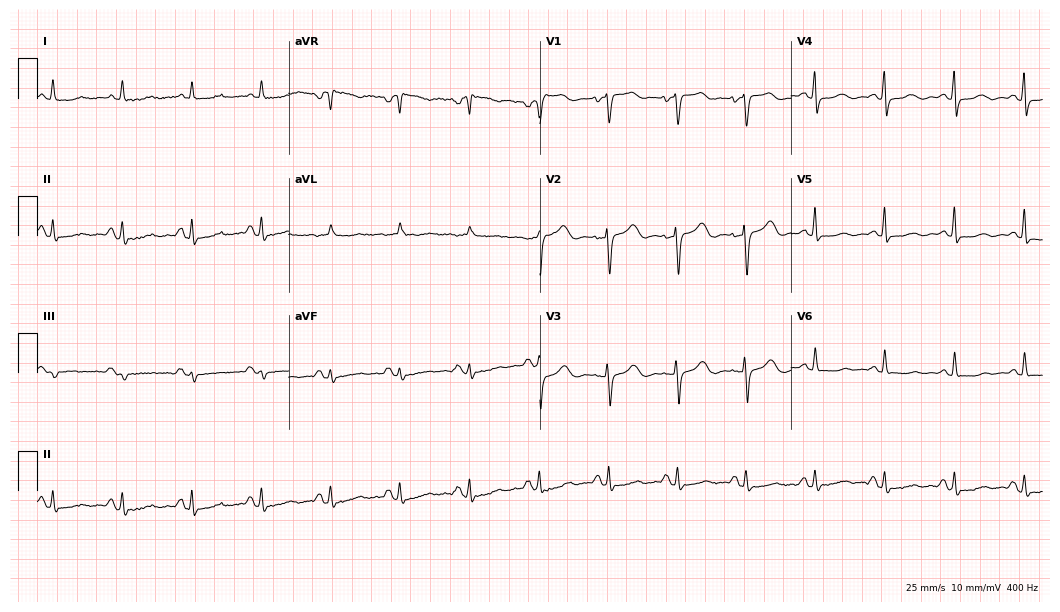
Standard 12-lead ECG recorded from a female patient, 74 years old. None of these six findings is recorded: first-degree AV block, right bundle branch block, left bundle branch block, sinus bradycardia, atrial fibrillation, sinus tachycardia.